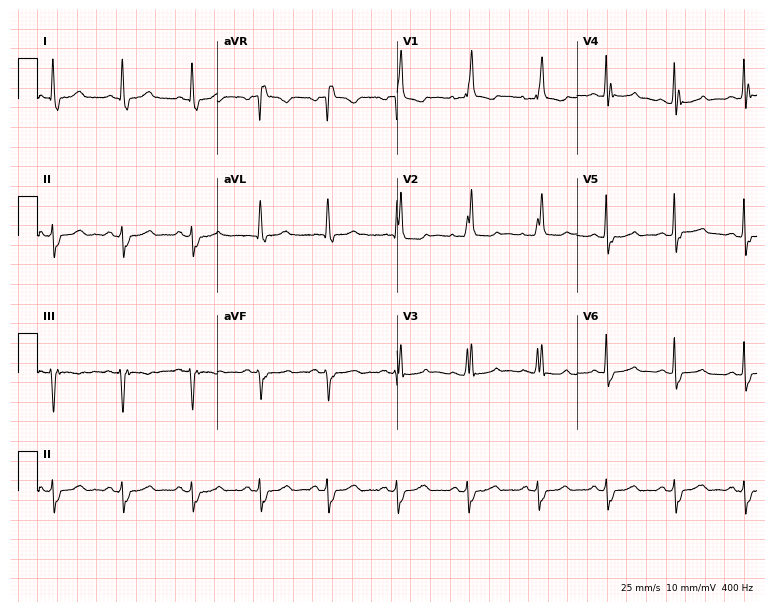
Electrocardiogram (7.3-second recording at 400 Hz), a female, 80 years old. Interpretation includes right bundle branch block (RBBB).